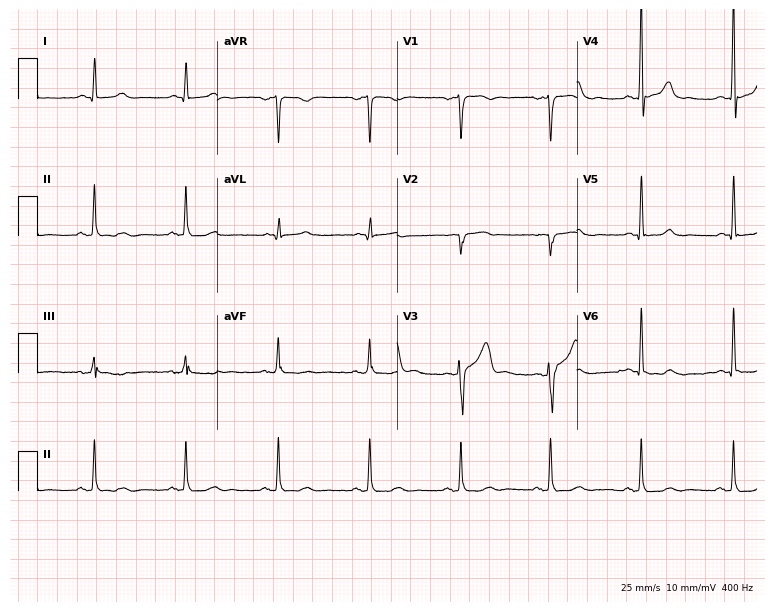
ECG — a male patient, 56 years old. Screened for six findings — first-degree AV block, right bundle branch block, left bundle branch block, sinus bradycardia, atrial fibrillation, sinus tachycardia — none is recorded. Other findings, if any, are not listed.